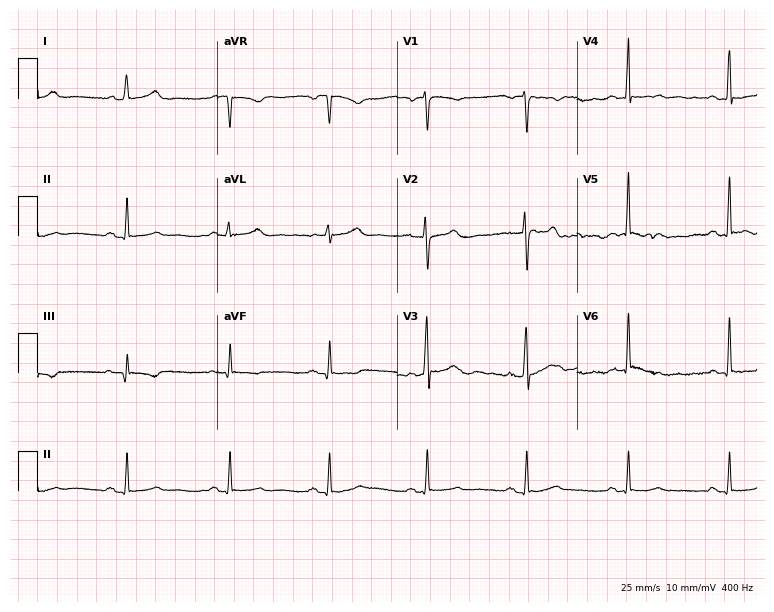
Resting 12-lead electrocardiogram (7.3-second recording at 400 Hz). Patient: a 53-year-old woman. None of these six findings is recorded: first-degree AV block, right bundle branch block, left bundle branch block, sinus bradycardia, atrial fibrillation, sinus tachycardia.